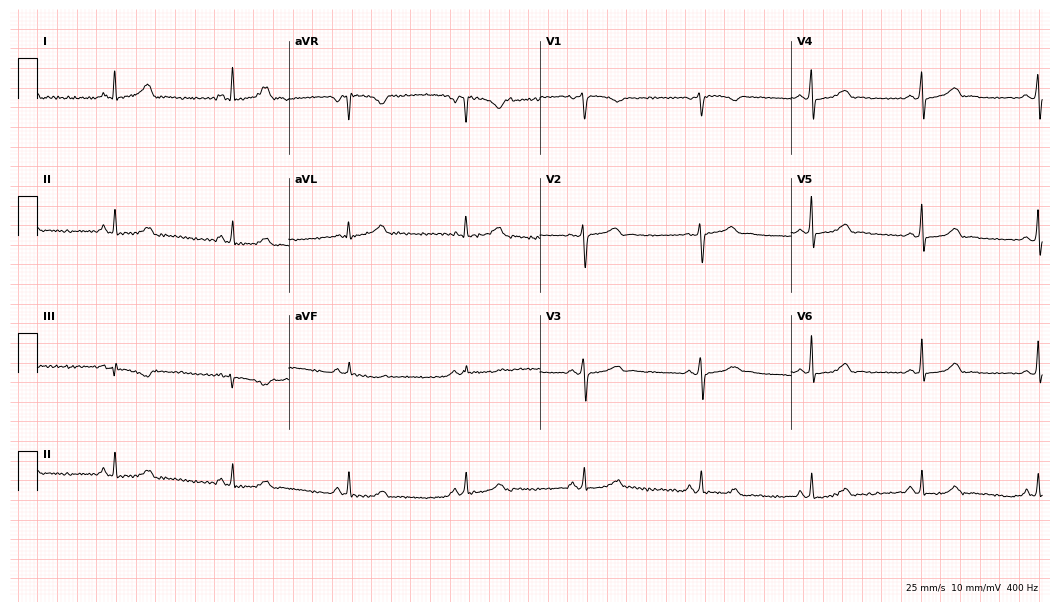
Electrocardiogram (10.2-second recording at 400 Hz), a 54-year-old female. Of the six screened findings (first-degree AV block, right bundle branch block (RBBB), left bundle branch block (LBBB), sinus bradycardia, atrial fibrillation (AF), sinus tachycardia), none is recorded.